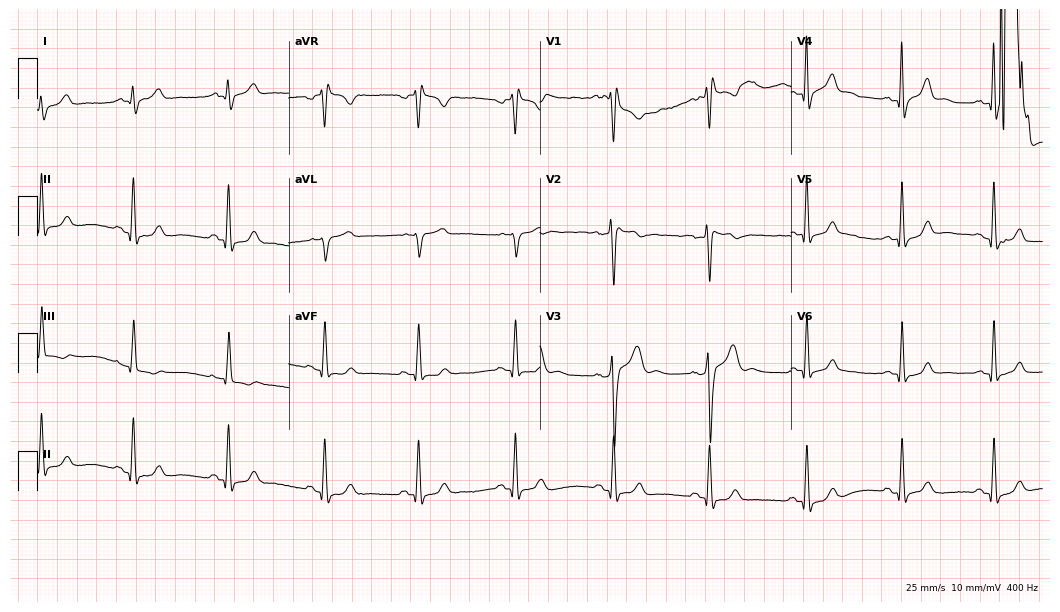
12-lead ECG from a male, 26 years old. No first-degree AV block, right bundle branch block, left bundle branch block, sinus bradycardia, atrial fibrillation or sinus tachycardia recorded for this tracing. Findings outside these six are not listed.